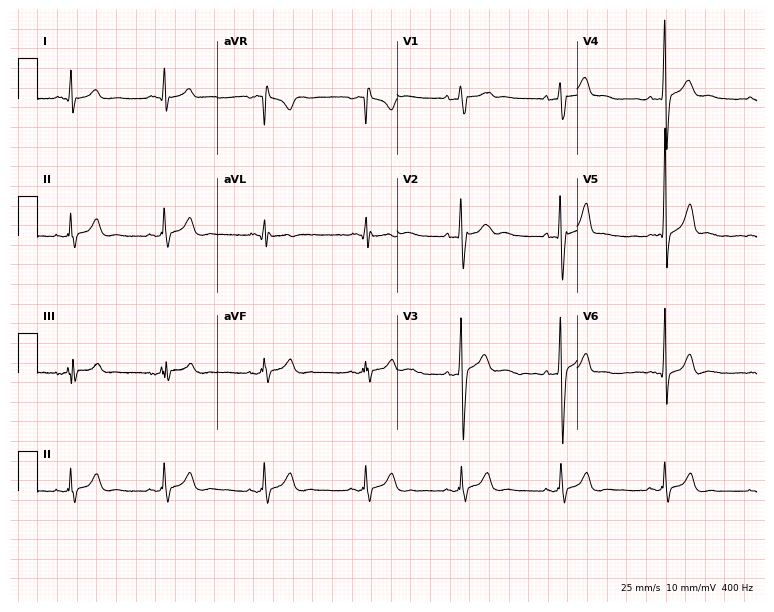
12-lead ECG from a man, 17 years old. Labelled as a normal ECG.